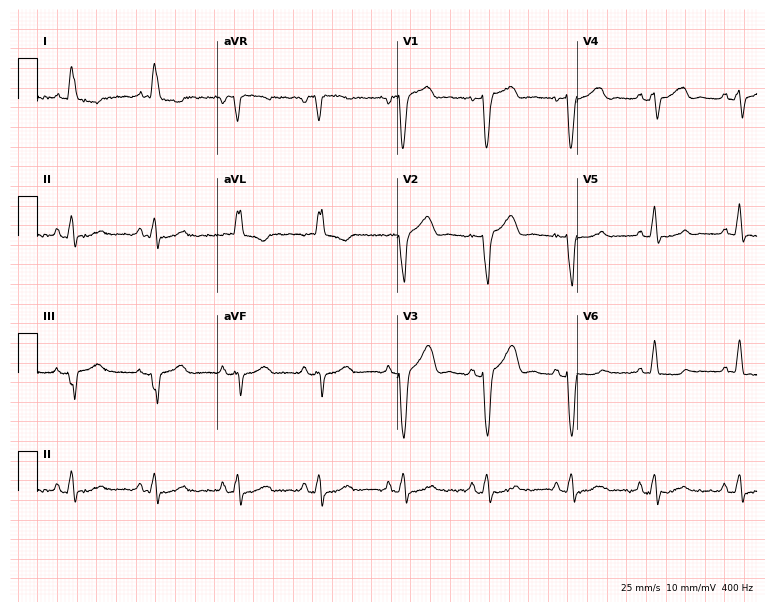
Resting 12-lead electrocardiogram. Patient: a female, 76 years old. The tracing shows left bundle branch block.